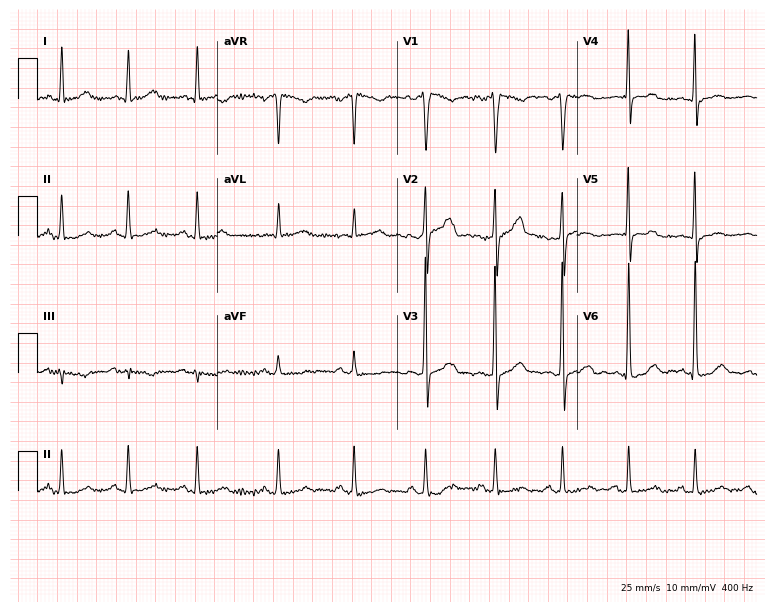
12-lead ECG from a 34-year-old male (7.3-second recording at 400 Hz). No first-degree AV block, right bundle branch block (RBBB), left bundle branch block (LBBB), sinus bradycardia, atrial fibrillation (AF) or sinus tachycardia recorded for this tracing. Other findings, if any, are not listed.